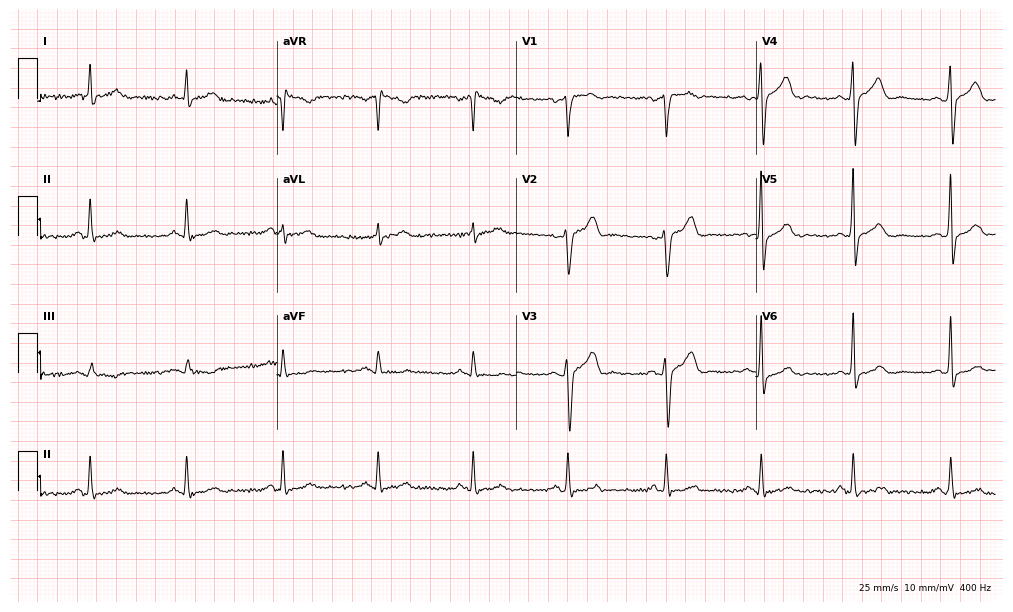
12-lead ECG from a man, 39 years old. No first-degree AV block, right bundle branch block, left bundle branch block, sinus bradycardia, atrial fibrillation or sinus tachycardia recorded for this tracing. Other findings, if any, are not listed.